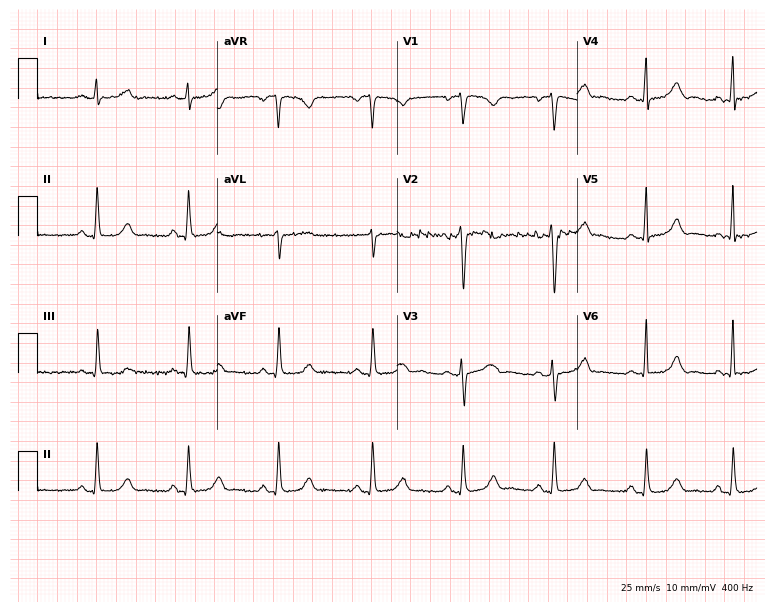
Resting 12-lead electrocardiogram (7.3-second recording at 400 Hz). Patient: a female, 30 years old. Read as a normal ECG.